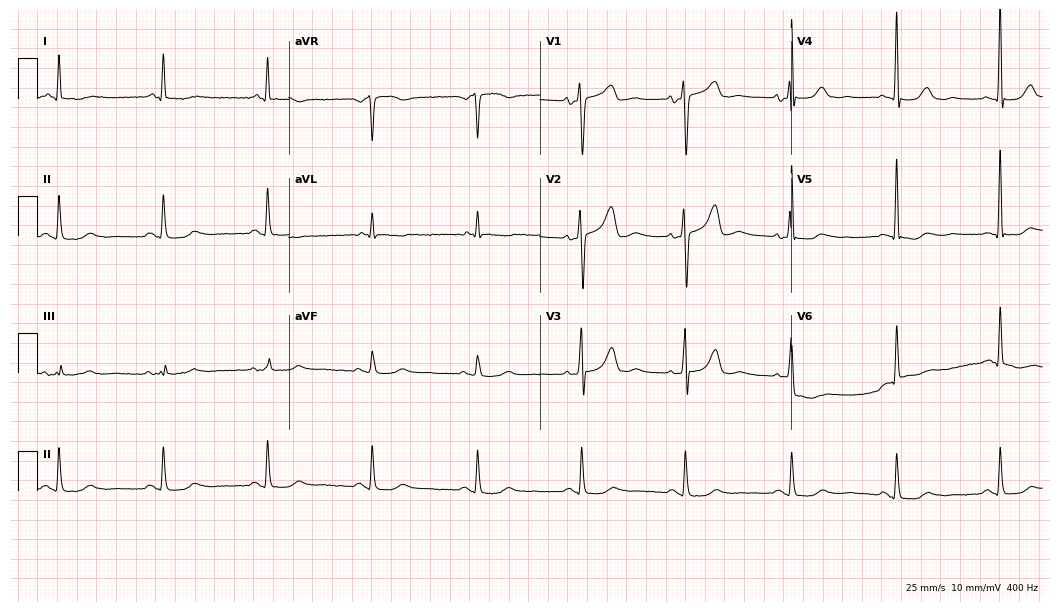
Resting 12-lead electrocardiogram. Patient: a 65-year-old man. None of these six findings is recorded: first-degree AV block, right bundle branch block, left bundle branch block, sinus bradycardia, atrial fibrillation, sinus tachycardia. Findings outside these six are not listed.